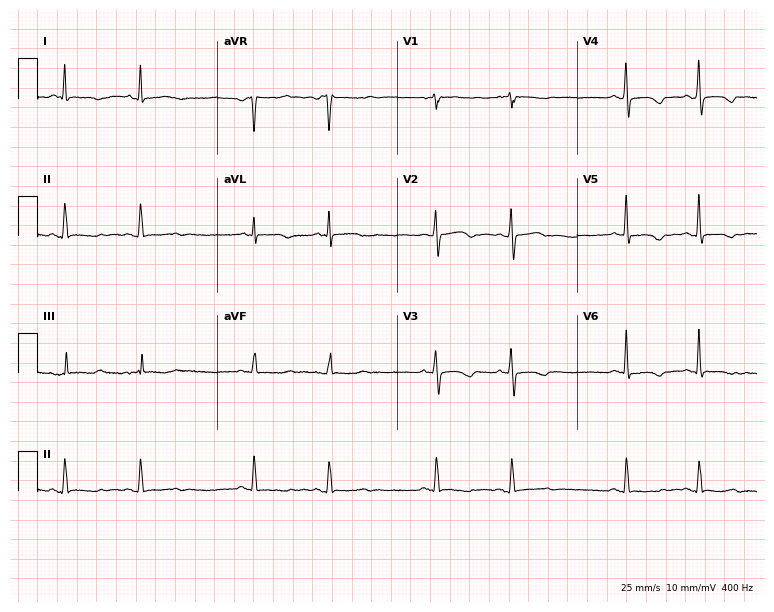
12-lead ECG from a 54-year-old female patient. Screened for six findings — first-degree AV block, right bundle branch block, left bundle branch block, sinus bradycardia, atrial fibrillation, sinus tachycardia — none is recorded.